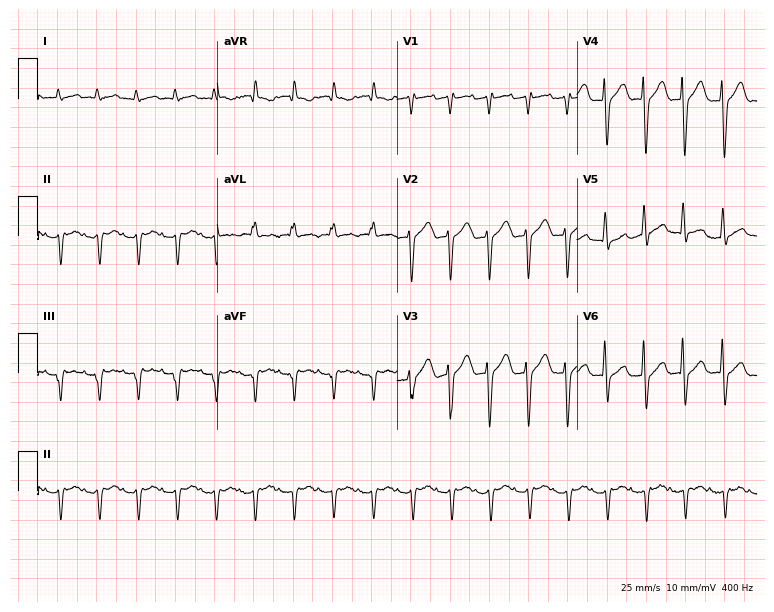
Standard 12-lead ECG recorded from a 77-year-old male patient (7.3-second recording at 400 Hz). None of these six findings is recorded: first-degree AV block, right bundle branch block (RBBB), left bundle branch block (LBBB), sinus bradycardia, atrial fibrillation (AF), sinus tachycardia. Findings outside these six are not listed.